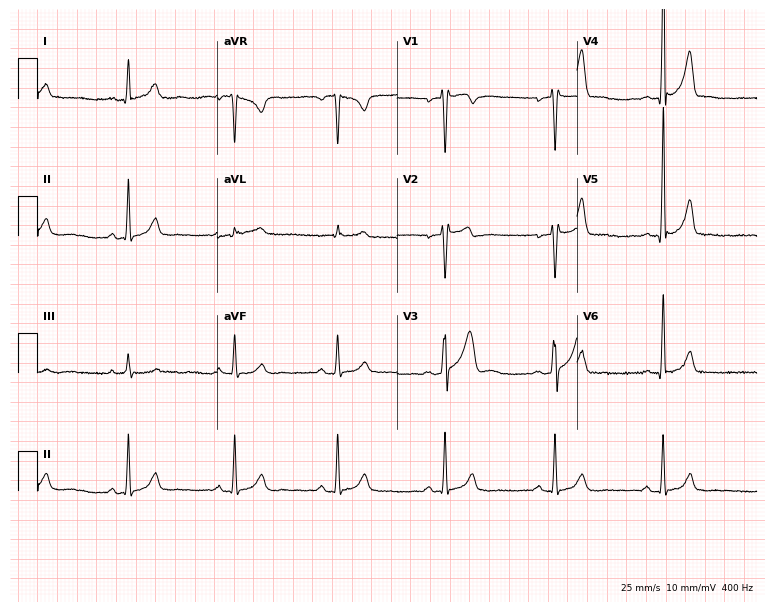
Electrocardiogram (7.3-second recording at 400 Hz), a male, 35 years old. Overall reading on record: normal ECG.